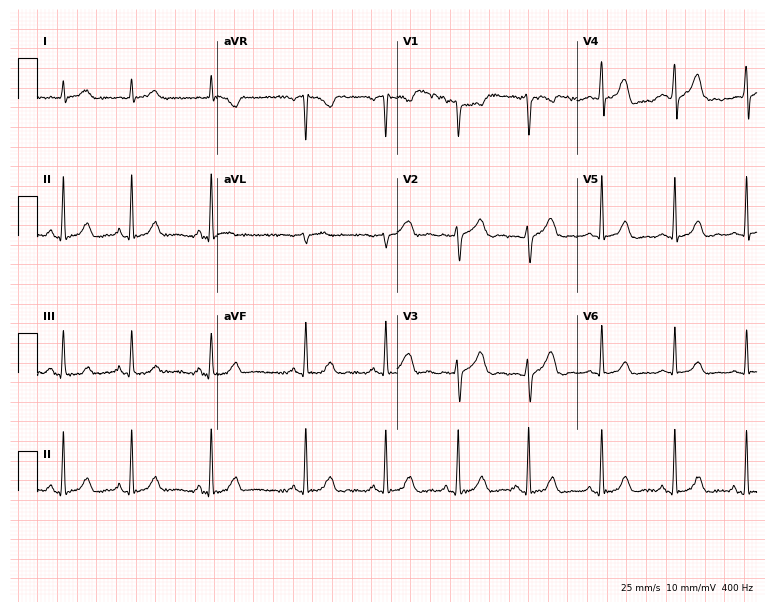
Electrocardiogram (7.3-second recording at 400 Hz), a 20-year-old female patient. Overall reading on record: normal ECG.